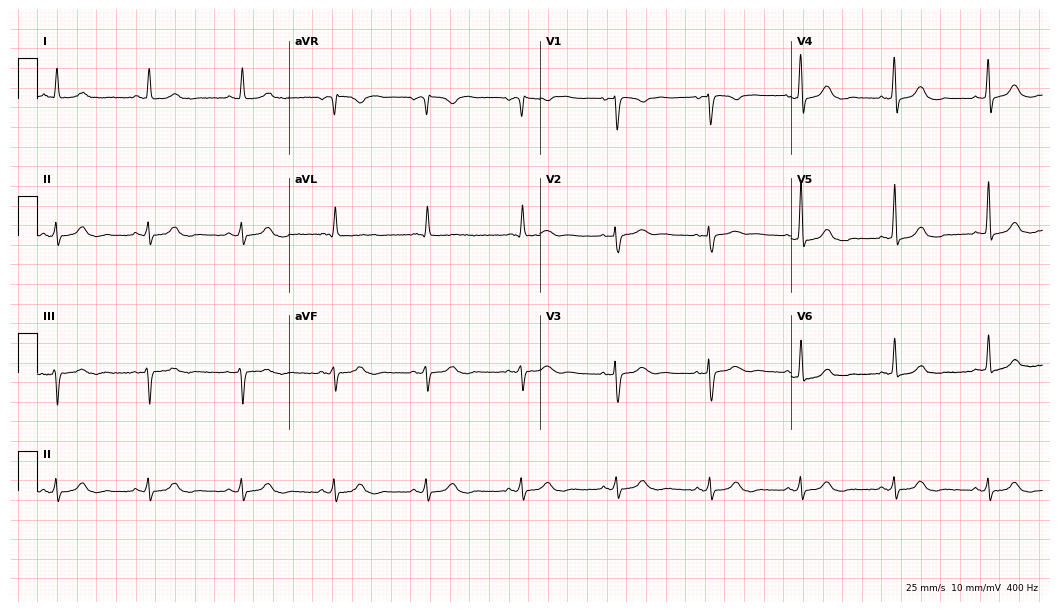
Standard 12-lead ECG recorded from a woman, 73 years old (10.2-second recording at 400 Hz). Read as a normal ECG.